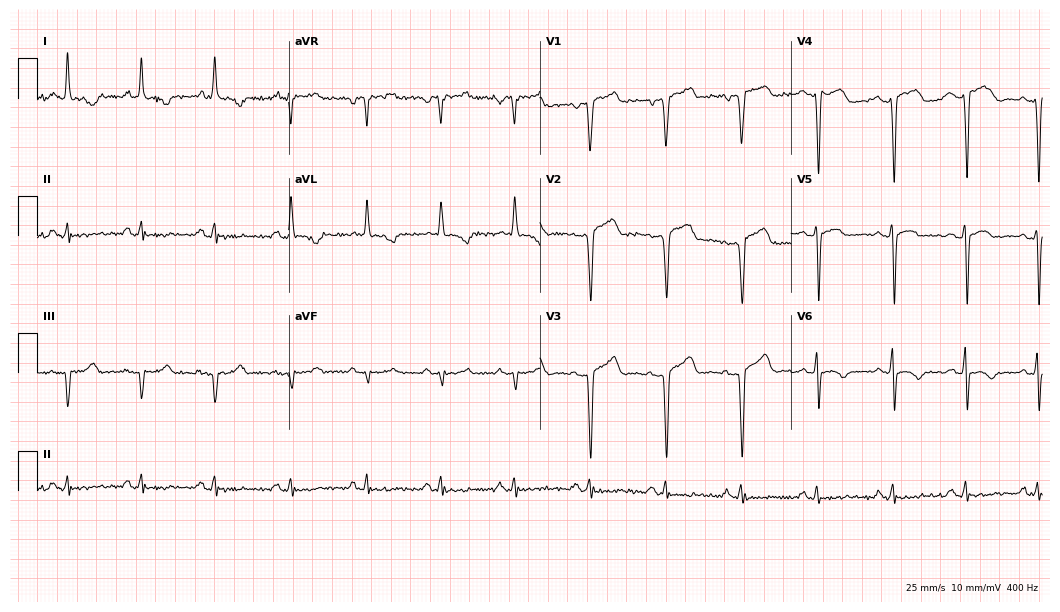
Standard 12-lead ECG recorded from a 60-year-old female patient. None of these six findings is recorded: first-degree AV block, right bundle branch block, left bundle branch block, sinus bradycardia, atrial fibrillation, sinus tachycardia. Only these six findings were labelled.